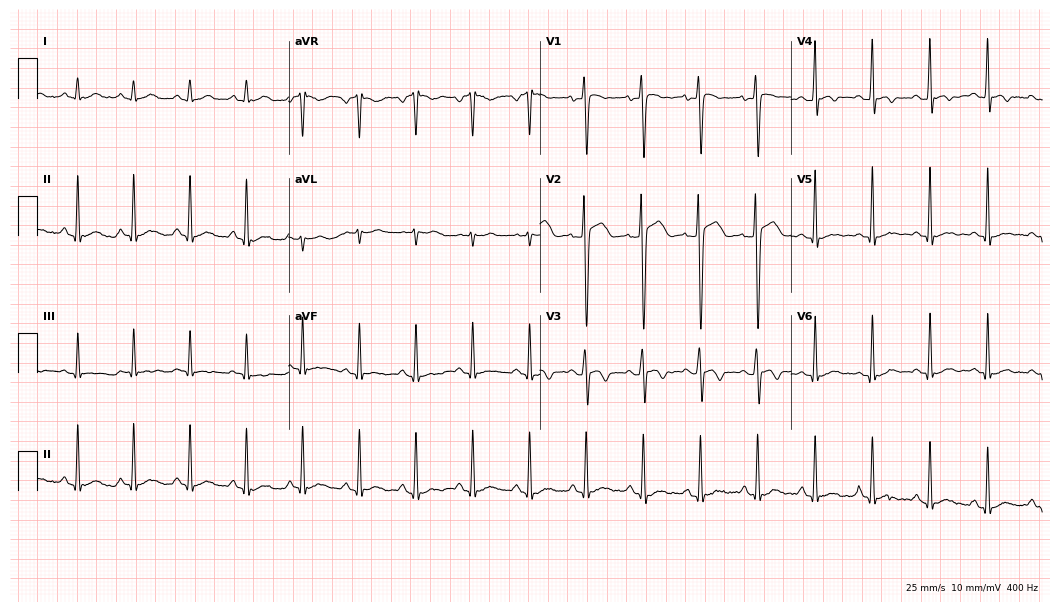
Electrocardiogram, a man, 18 years old. Of the six screened findings (first-degree AV block, right bundle branch block, left bundle branch block, sinus bradycardia, atrial fibrillation, sinus tachycardia), none is recorded.